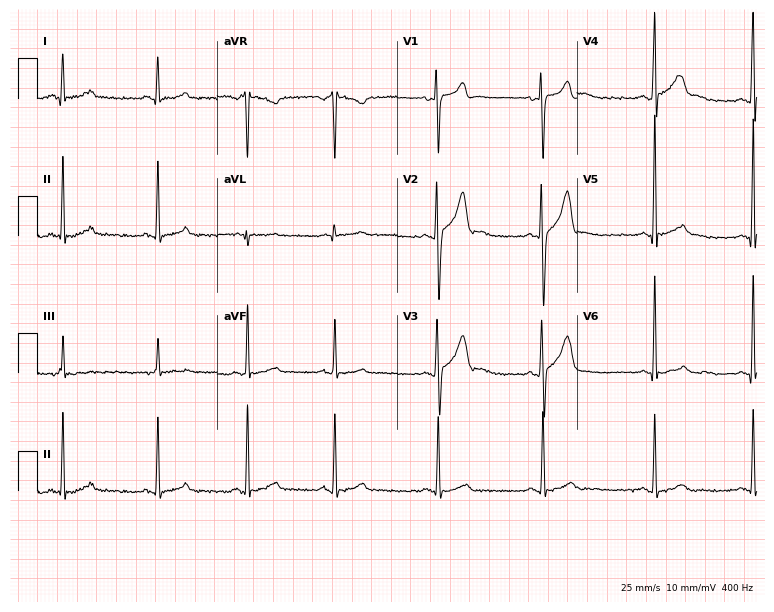
Standard 12-lead ECG recorded from a 36-year-old male. Read as a normal ECG.